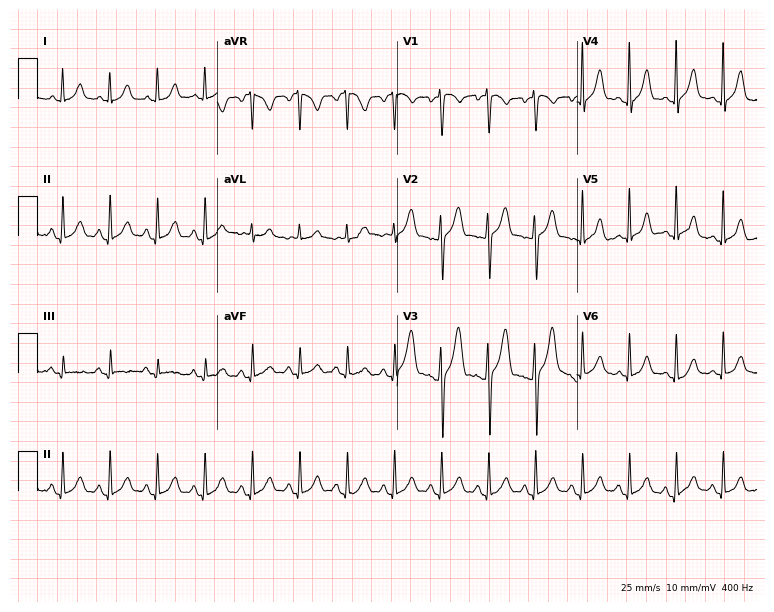
Standard 12-lead ECG recorded from a female, 45 years old (7.3-second recording at 400 Hz). The tracing shows sinus tachycardia (a sinus rate of 100 beats per minute or more).